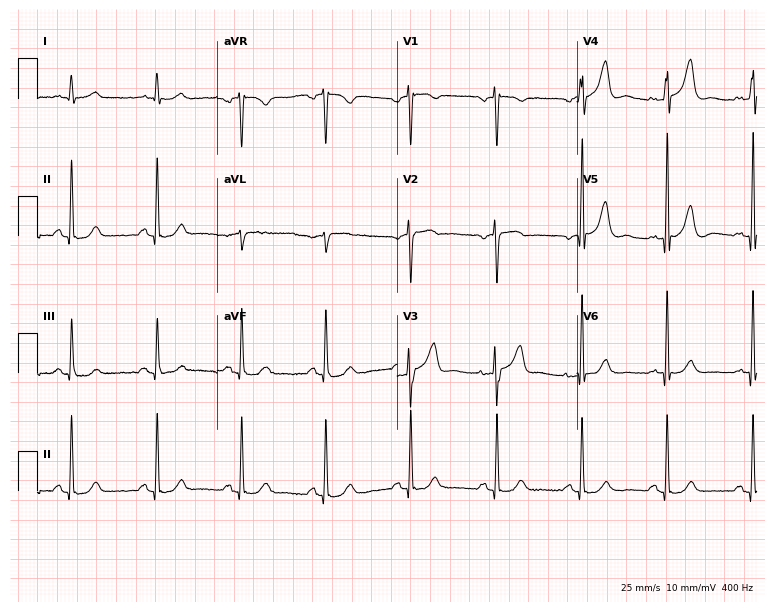
Electrocardiogram, a male, 71 years old. Overall reading on record: normal ECG.